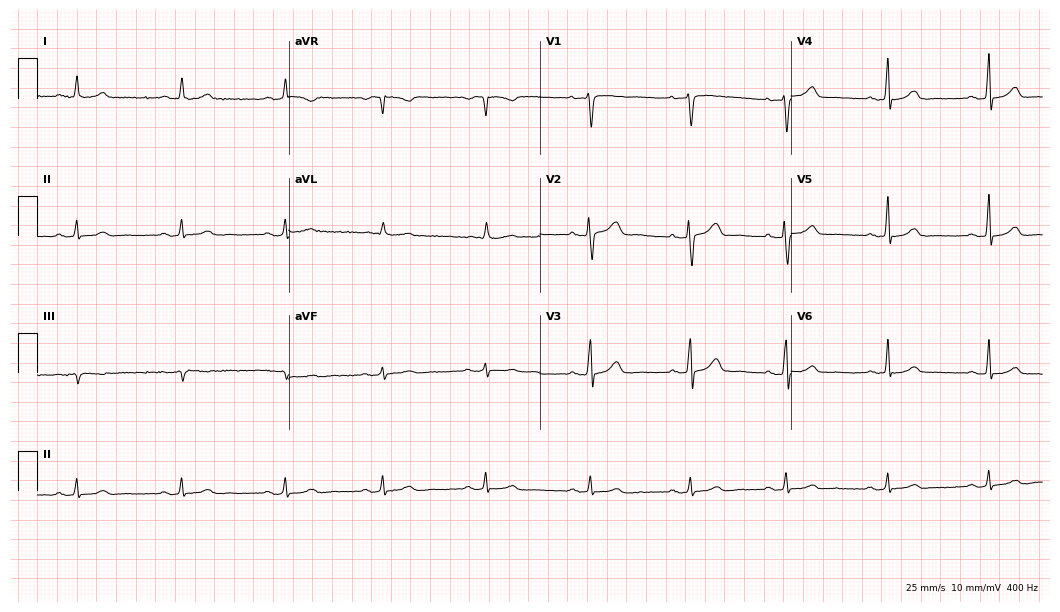
Electrocardiogram, a woman, 46 years old. Overall reading on record: normal ECG.